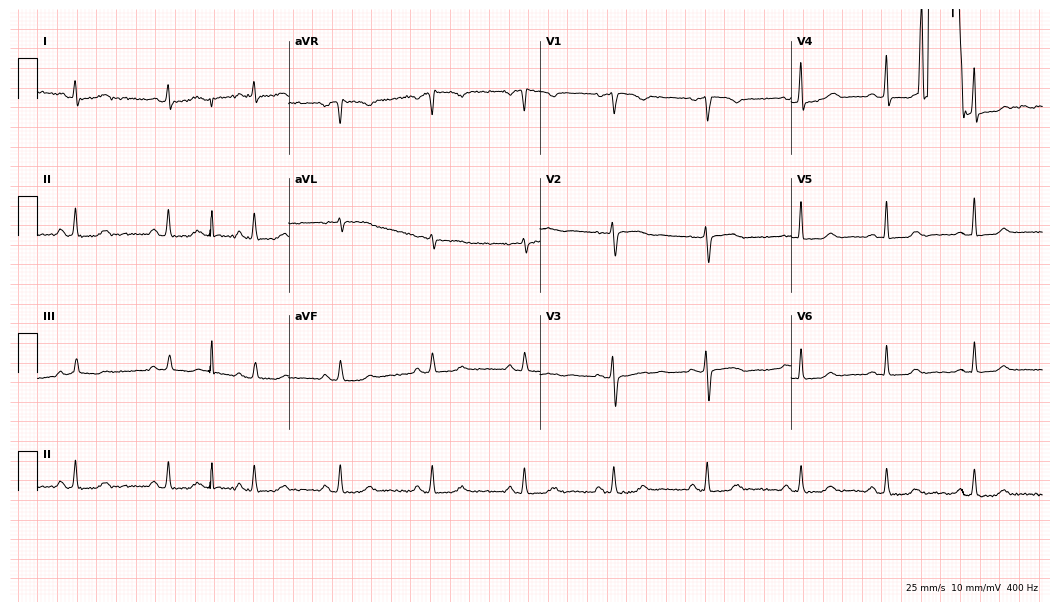
Standard 12-lead ECG recorded from a female patient, 35 years old. Read as a normal ECG.